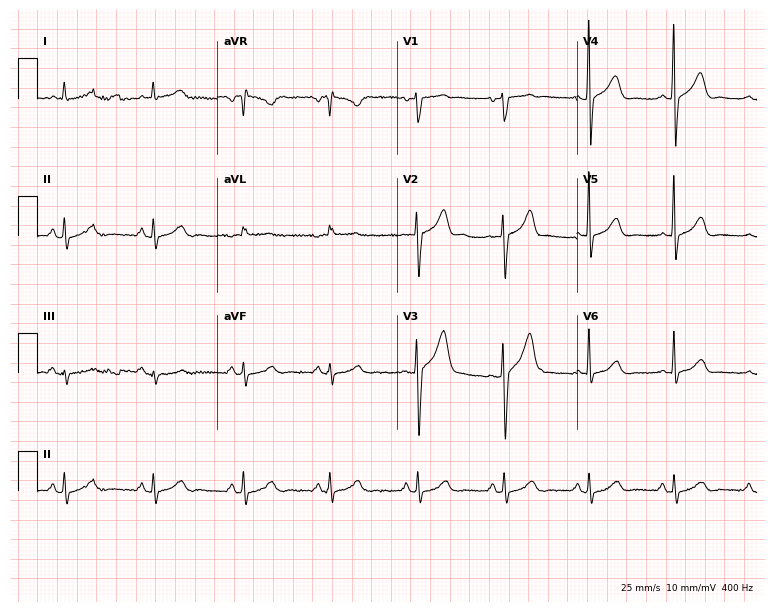
Resting 12-lead electrocardiogram. Patient: a 53-year-old male. None of these six findings is recorded: first-degree AV block, right bundle branch block, left bundle branch block, sinus bradycardia, atrial fibrillation, sinus tachycardia. Only these six findings were labelled.